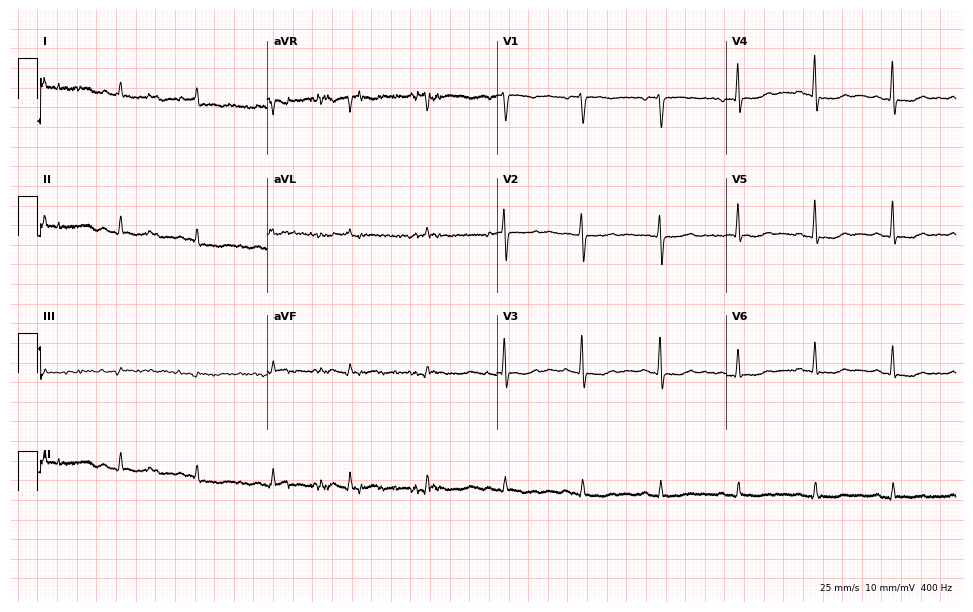
Electrocardiogram (9.4-second recording at 400 Hz), a woman, 67 years old. Of the six screened findings (first-degree AV block, right bundle branch block, left bundle branch block, sinus bradycardia, atrial fibrillation, sinus tachycardia), none is recorded.